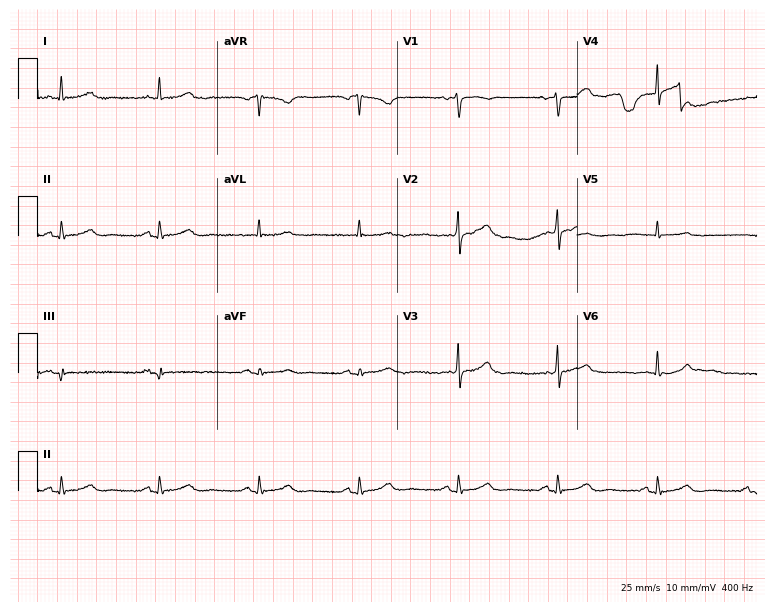
ECG (7.3-second recording at 400 Hz) — a 59-year-old female. Screened for six findings — first-degree AV block, right bundle branch block, left bundle branch block, sinus bradycardia, atrial fibrillation, sinus tachycardia — none is recorded.